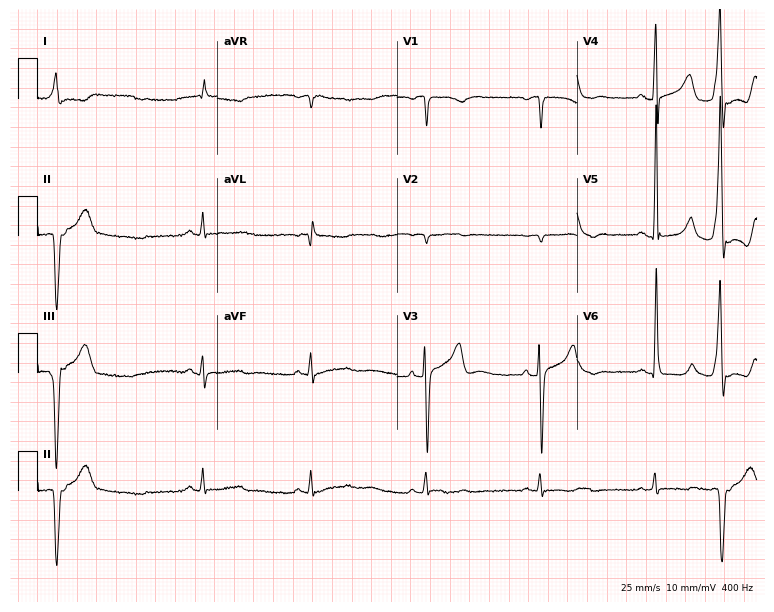
12-lead ECG (7.3-second recording at 400 Hz) from a 70-year-old man. Screened for six findings — first-degree AV block, right bundle branch block, left bundle branch block, sinus bradycardia, atrial fibrillation, sinus tachycardia — none is recorded.